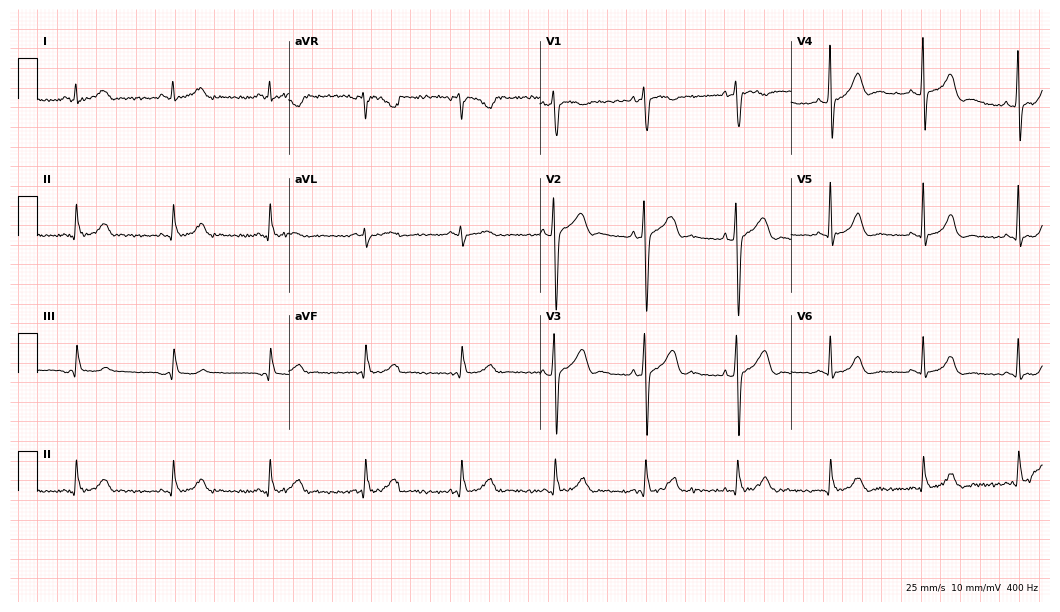
ECG (10.2-second recording at 400 Hz) — a male, 53 years old. Labelled as a normal ECG.